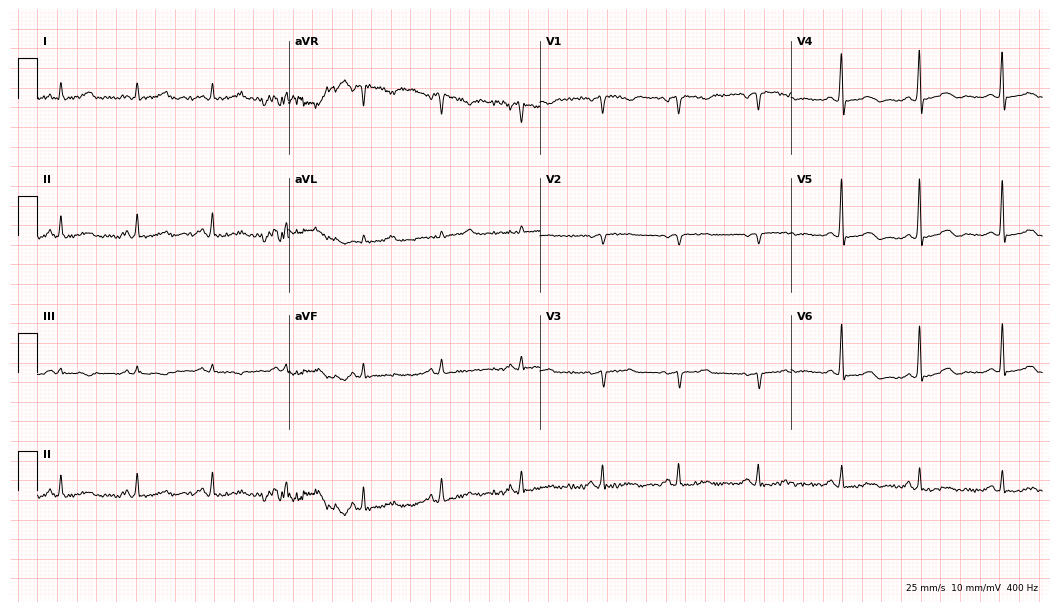
ECG — a woman, 53 years old. Screened for six findings — first-degree AV block, right bundle branch block (RBBB), left bundle branch block (LBBB), sinus bradycardia, atrial fibrillation (AF), sinus tachycardia — none is recorded. Only these six findings were labelled.